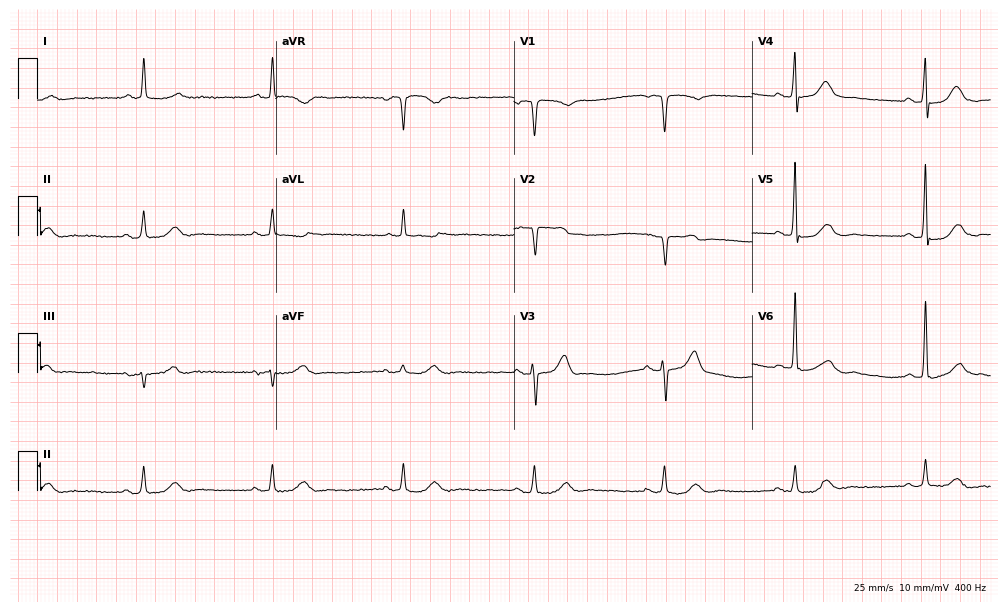
Electrocardiogram (9.7-second recording at 400 Hz), a 77-year-old male. Interpretation includes sinus bradycardia (a sinus rate of 50 beats per minute or less).